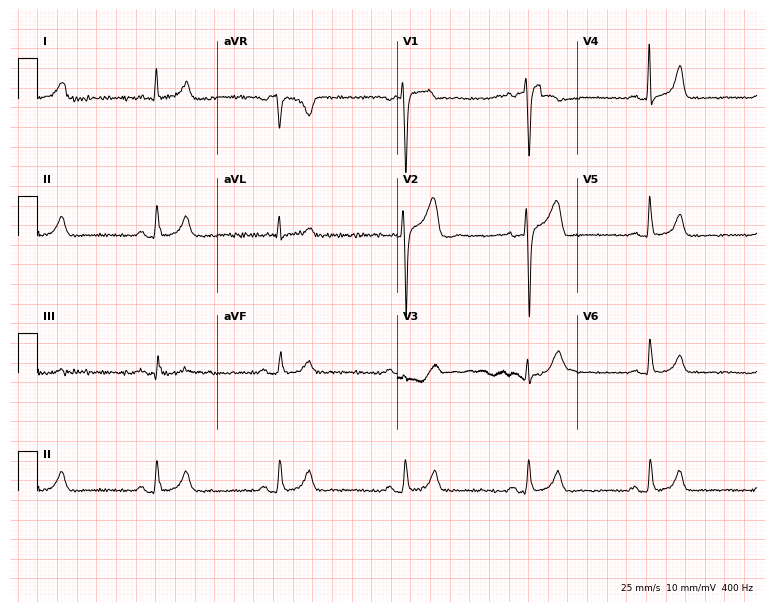
Standard 12-lead ECG recorded from a 52-year-old male (7.3-second recording at 400 Hz). None of these six findings is recorded: first-degree AV block, right bundle branch block, left bundle branch block, sinus bradycardia, atrial fibrillation, sinus tachycardia. Only these six findings were labelled.